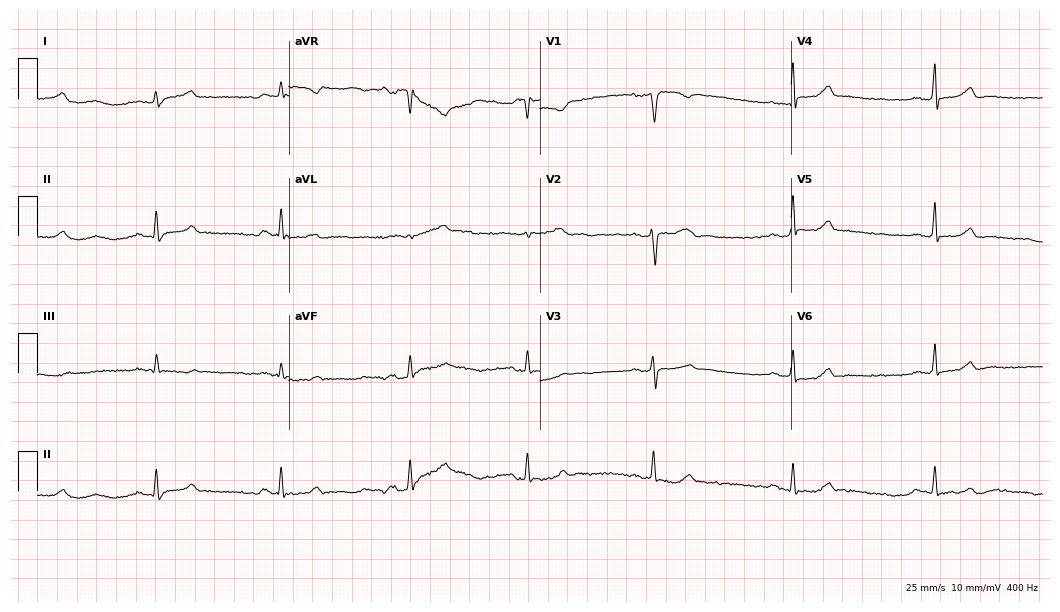
12-lead ECG (10.2-second recording at 400 Hz) from a 55-year-old female. Findings include sinus bradycardia (a sinus rate of 50 beats per minute or less).